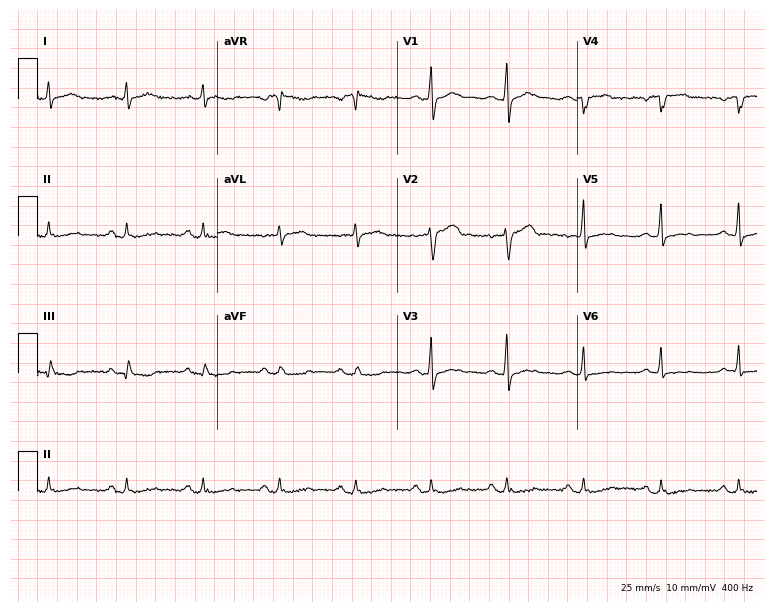
Standard 12-lead ECG recorded from a 54-year-old male (7.3-second recording at 400 Hz). None of these six findings is recorded: first-degree AV block, right bundle branch block, left bundle branch block, sinus bradycardia, atrial fibrillation, sinus tachycardia. Only these six findings were labelled.